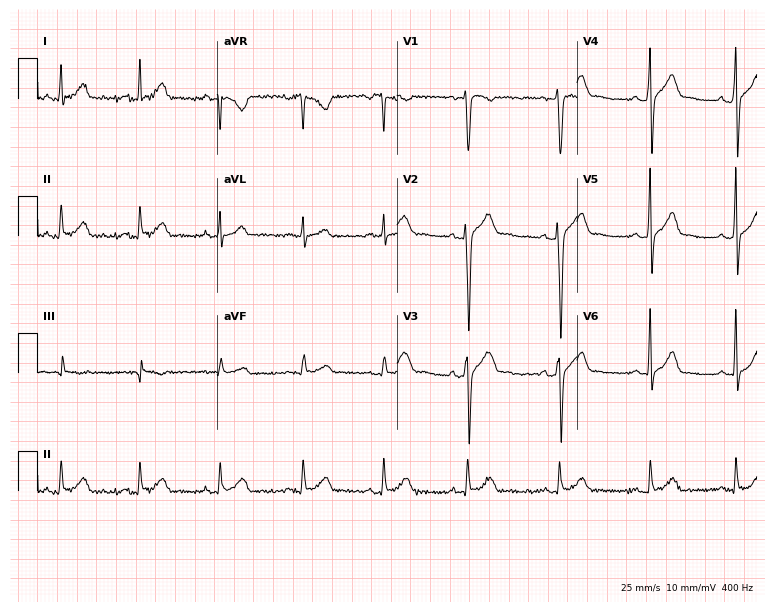
ECG (7.3-second recording at 400 Hz) — a man, 26 years old. Labelled as a normal ECG.